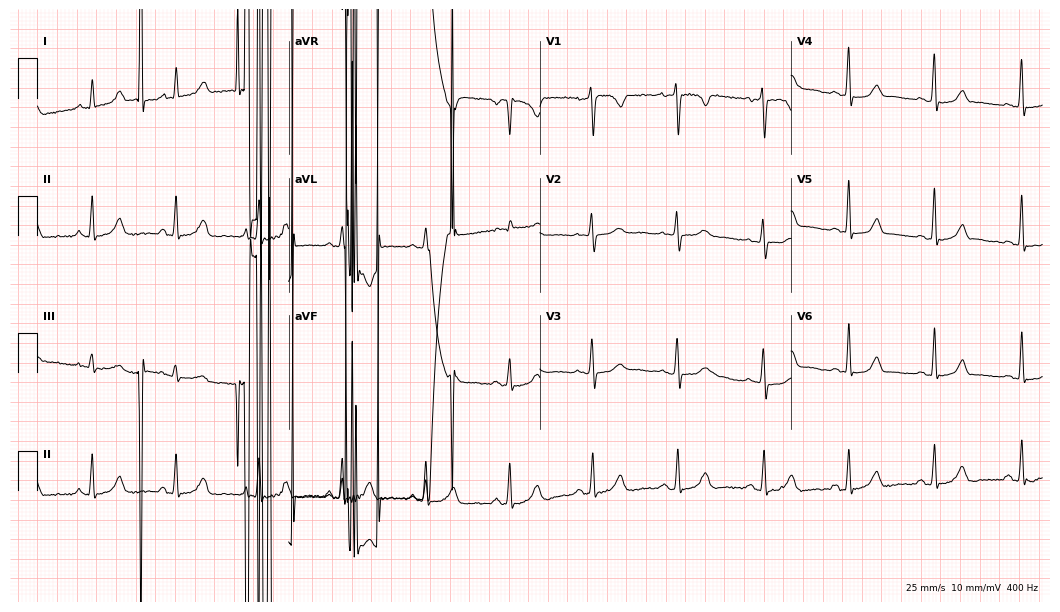
12-lead ECG from a female, 47 years old. No first-degree AV block, right bundle branch block, left bundle branch block, sinus bradycardia, atrial fibrillation or sinus tachycardia recorded for this tracing. Findings outside these six are not listed.